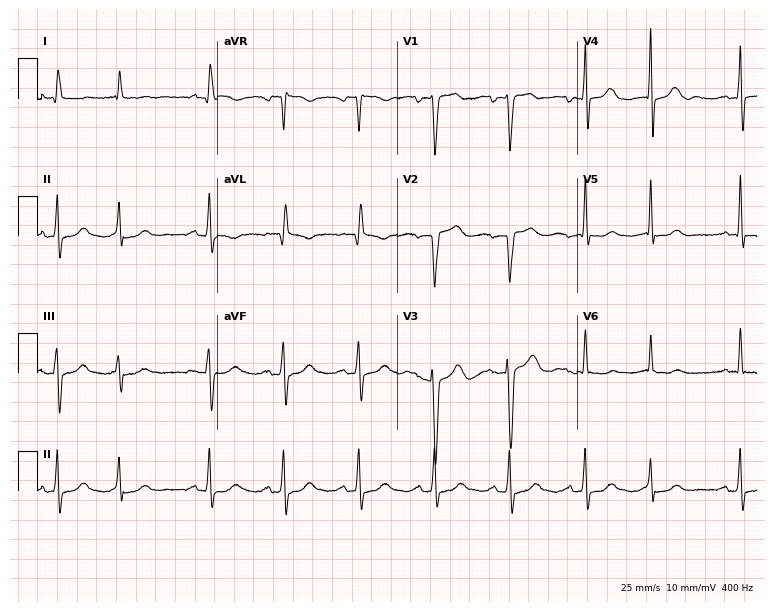
12-lead ECG from a female patient, 69 years old. No first-degree AV block, right bundle branch block (RBBB), left bundle branch block (LBBB), sinus bradycardia, atrial fibrillation (AF) or sinus tachycardia recorded for this tracing. Only these six findings were labelled.